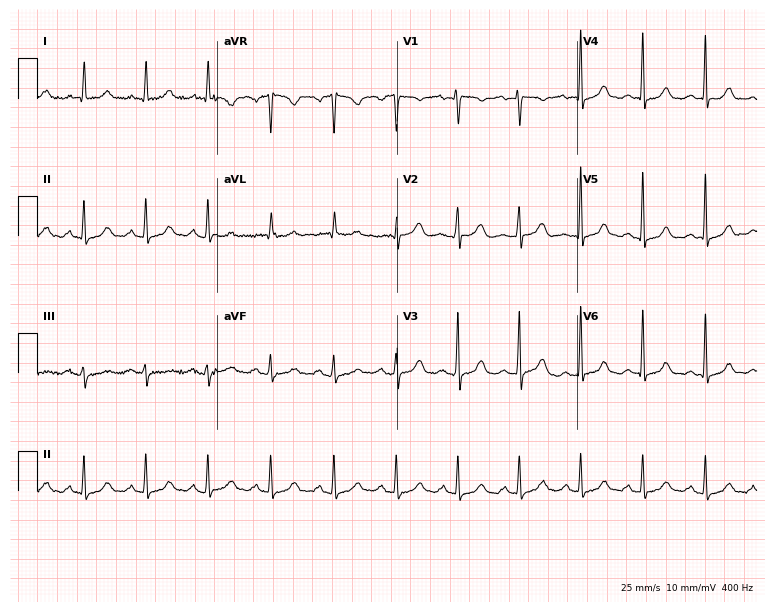
Electrocardiogram, a female, 55 years old. Of the six screened findings (first-degree AV block, right bundle branch block (RBBB), left bundle branch block (LBBB), sinus bradycardia, atrial fibrillation (AF), sinus tachycardia), none is recorded. Only these six findings were labelled.